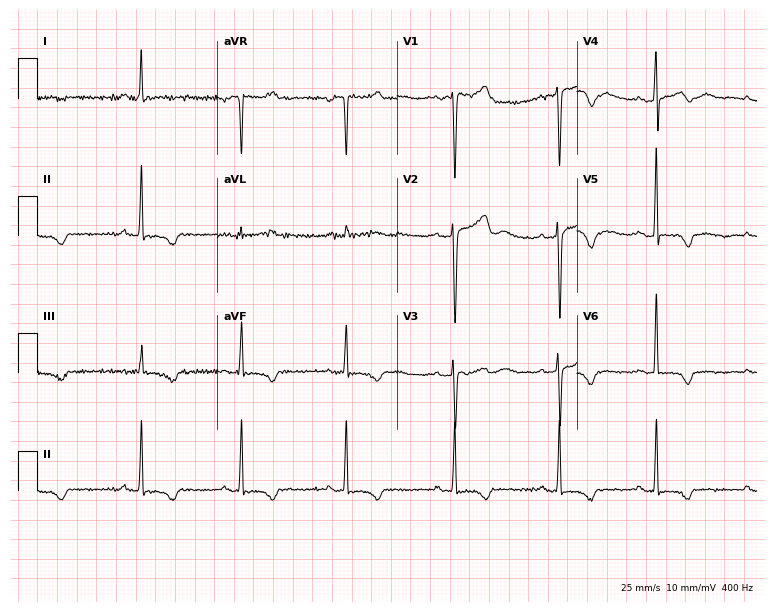
Electrocardiogram, a female, 39 years old. Of the six screened findings (first-degree AV block, right bundle branch block (RBBB), left bundle branch block (LBBB), sinus bradycardia, atrial fibrillation (AF), sinus tachycardia), none is recorded.